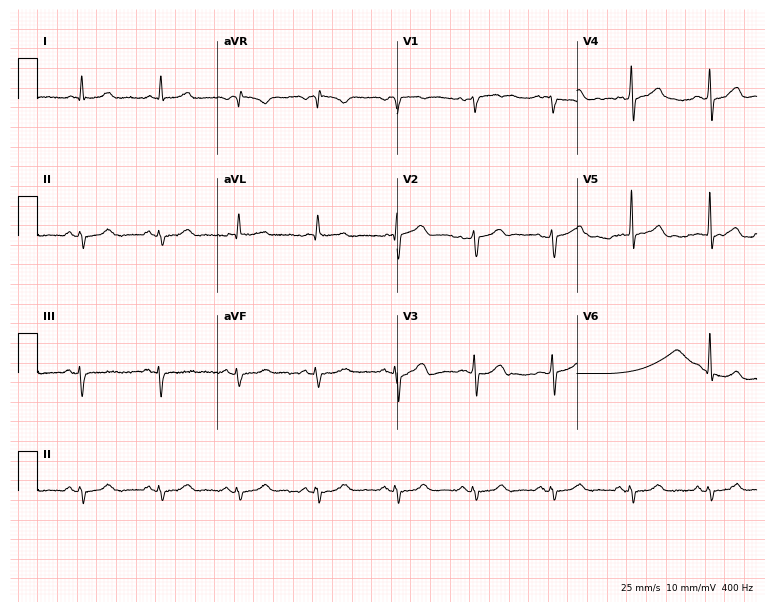
12-lead ECG from a male patient, 54 years old (7.3-second recording at 400 Hz). No first-degree AV block, right bundle branch block, left bundle branch block, sinus bradycardia, atrial fibrillation or sinus tachycardia recorded for this tracing.